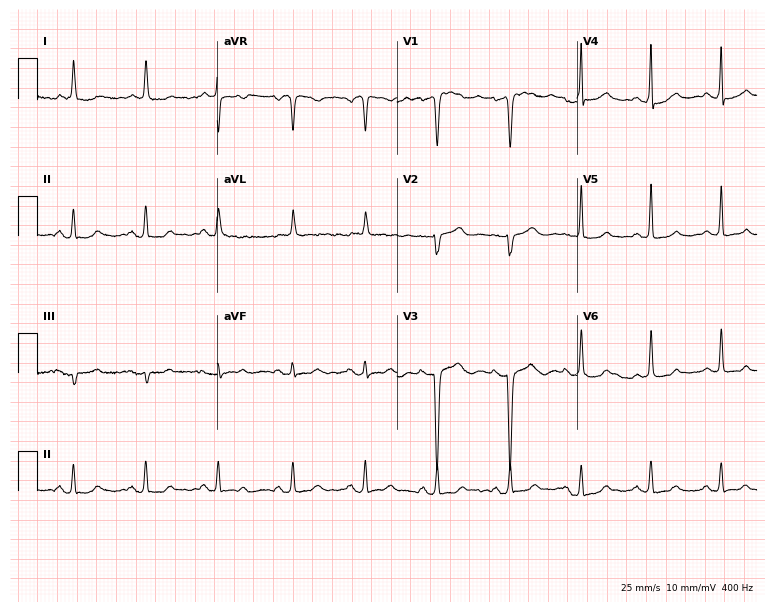
ECG — a woman, 65 years old. Screened for six findings — first-degree AV block, right bundle branch block (RBBB), left bundle branch block (LBBB), sinus bradycardia, atrial fibrillation (AF), sinus tachycardia — none is recorded. Findings outside these six are not listed.